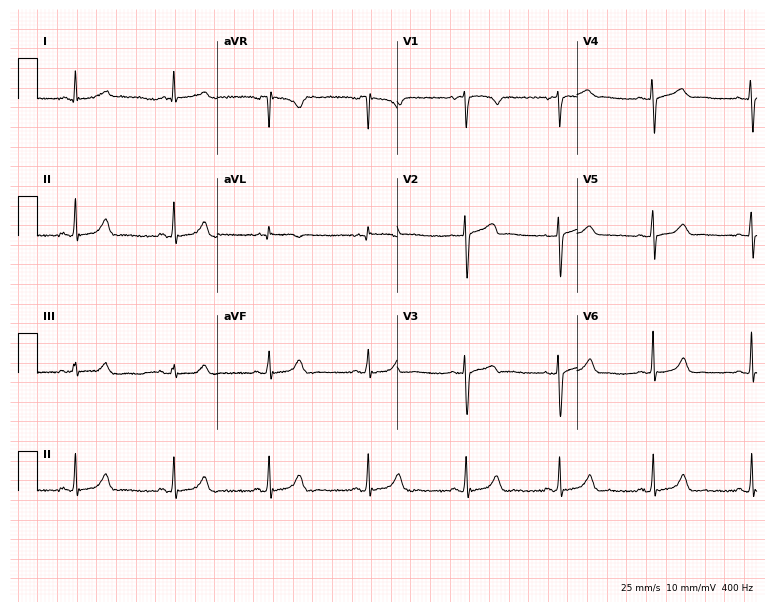
ECG (7.3-second recording at 400 Hz) — a 40-year-old female. Screened for six findings — first-degree AV block, right bundle branch block, left bundle branch block, sinus bradycardia, atrial fibrillation, sinus tachycardia — none is recorded.